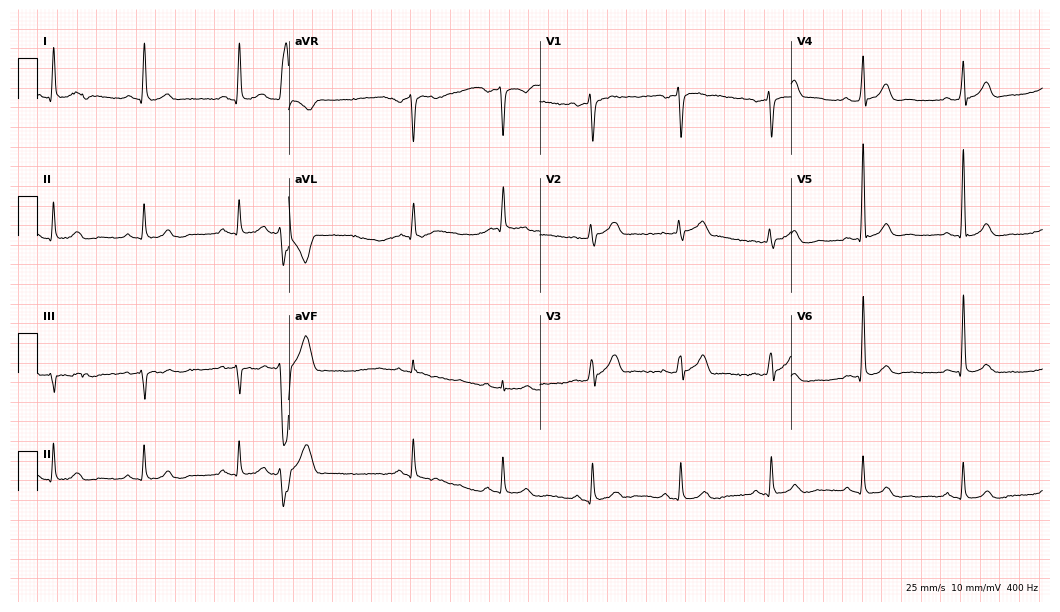
Standard 12-lead ECG recorded from a male patient, 55 years old. Read as a normal ECG.